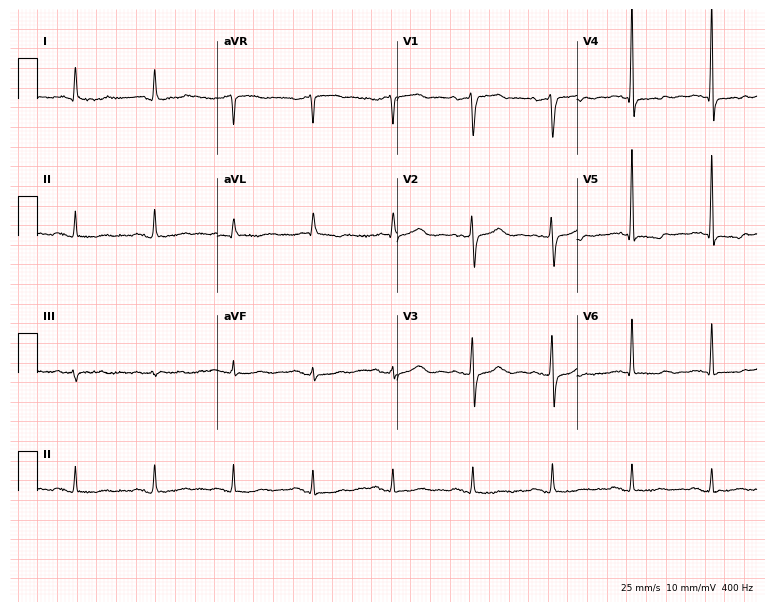
ECG (7.3-second recording at 400 Hz) — an 85-year-old male patient. Screened for six findings — first-degree AV block, right bundle branch block, left bundle branch block, sinus bradycardia, atrial fibrillation, sinus tachycardia — none is recorded.